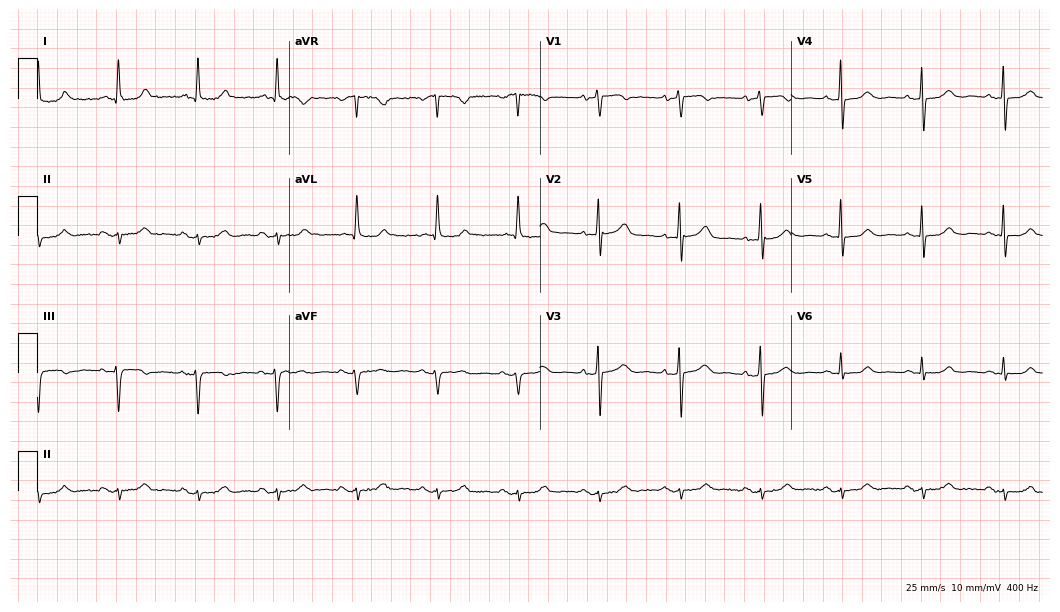
12-lead ECG (10.2-second recording at 400 Hz) from a 74-year-old female. Screened for six findings — first-degree AV block, right bundle branch block, left bundle branch block, sinus bradycardia, atrial fibrillation, sinus tachycardia — none is recorded. Only these six findings were labelled.